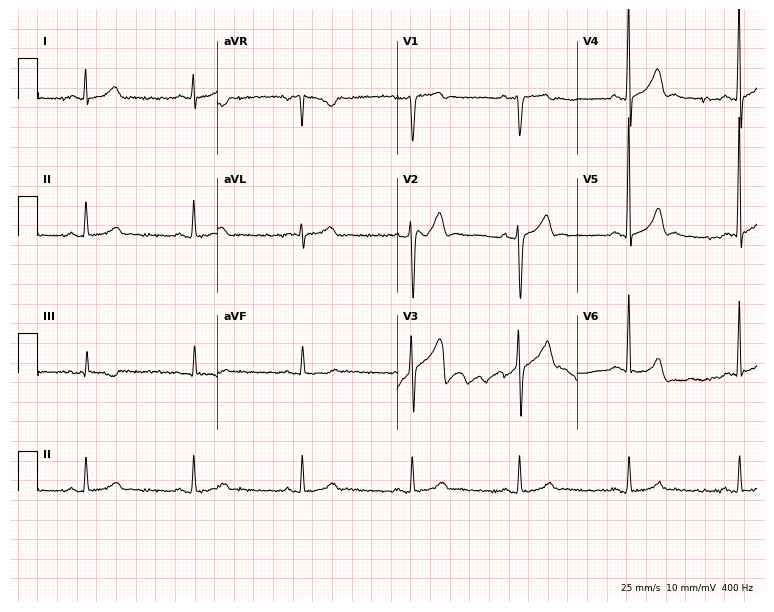
Resting 12-lead electrocardiogram (7.3-second recording at 400 Hz). Patient: a 41-year-old man. Read as a normal ECG.